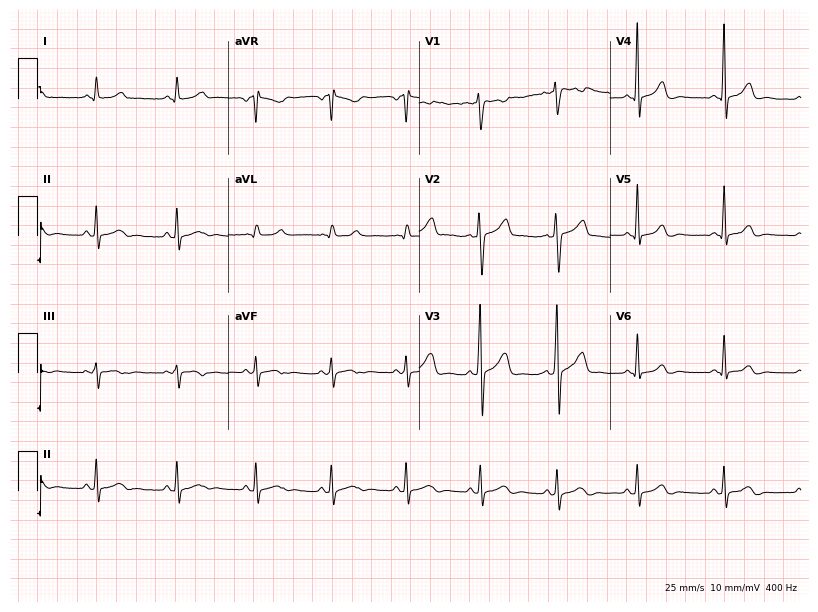
ECG (7.8-second recording at 400 Hz) — a male patient, 37 years old. Labelled as a normal ECG.